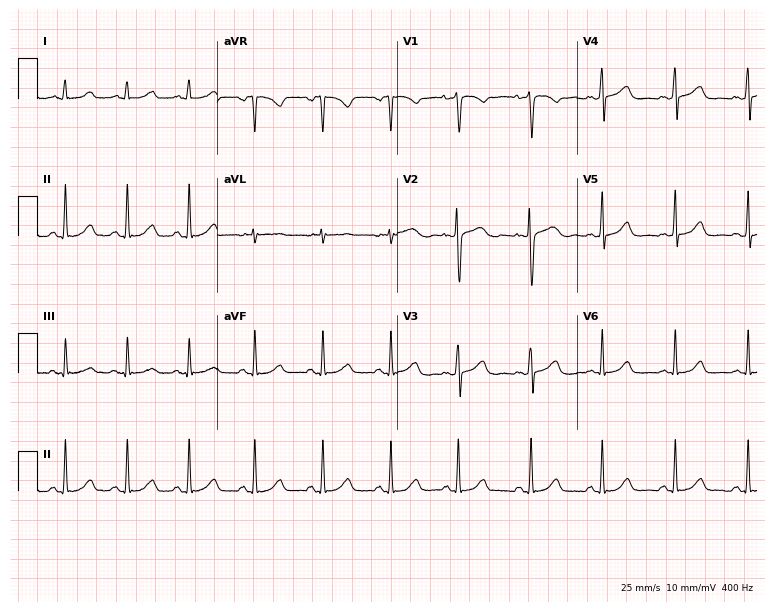
12-lead ECG from a 27-year-old woman. Labelled as a normal ECG.